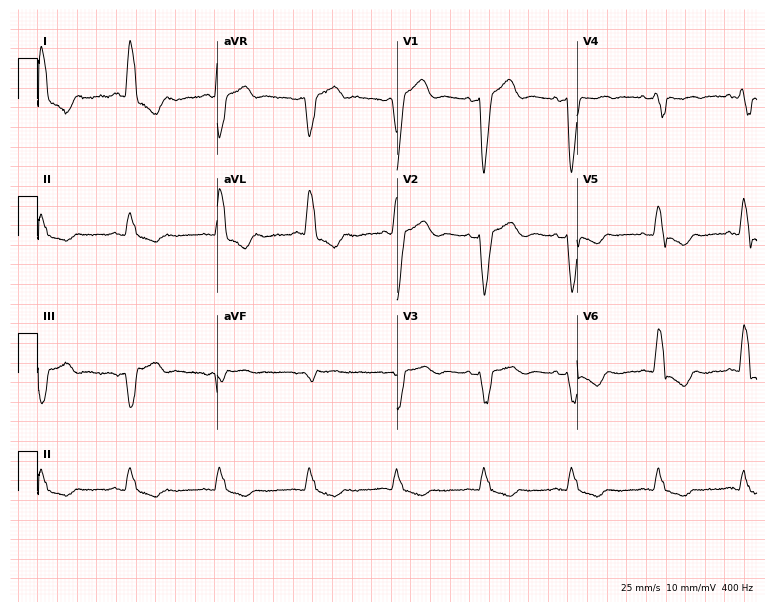
Electrocardiogram, a 77-year-old woman. Interpretation includes left bundle branch block.